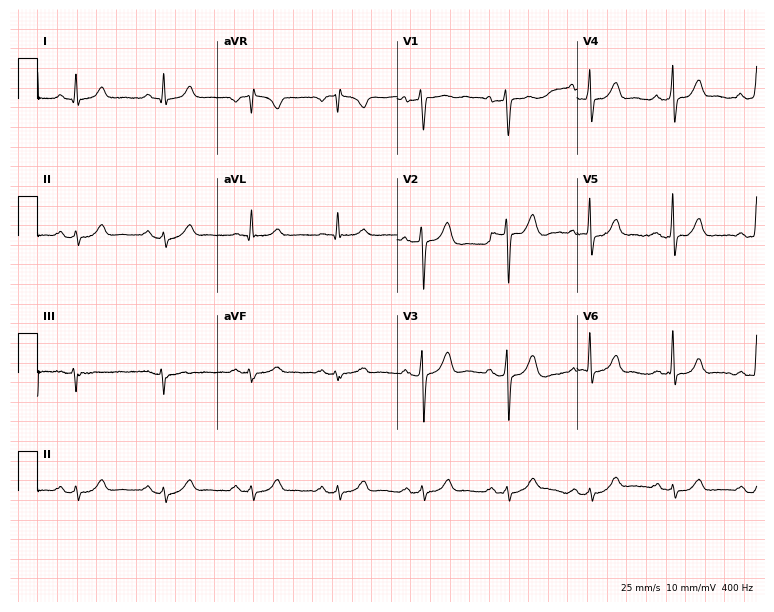
12-lead ECG from a male, 60 years old. Screened for six findings — first-degree AV block, right bundle branch block (RBBB), left bundle branch block (LBBB), sinus bradycardia, atrial fibrillation (AF), sinus tachycardia — none is recorded. Only these six findings were labelled.